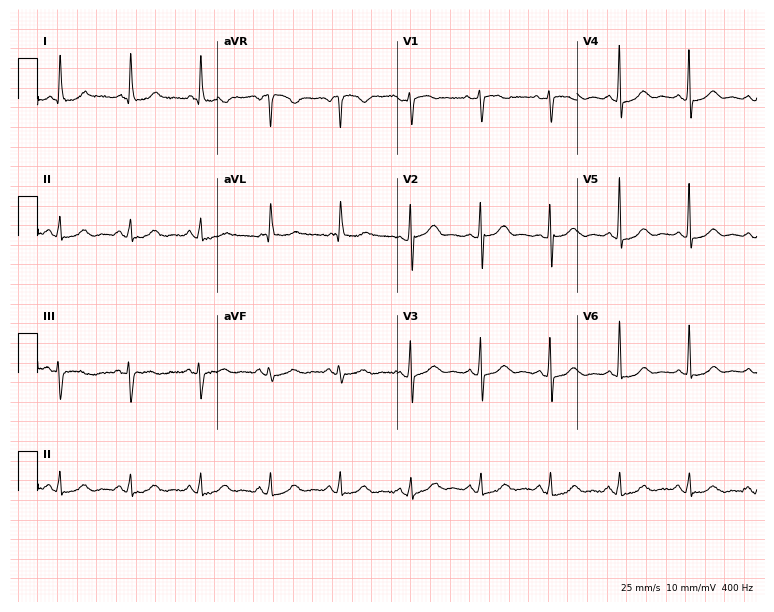
12-lead ECG from a female, 82 years old. Screened for six findings — first-degree AV block, right bundle branch block, left bundle branch block, sinus bradycardia, atrial fibrillation, sinus tachycardia — none is recorded.